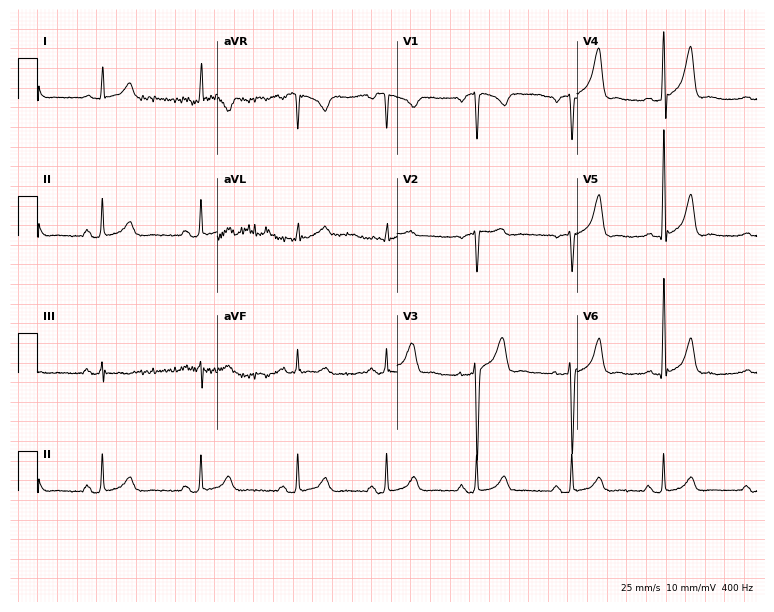
Resting 12-lead electrocardiogram. Patient: a male, 44 years old. Read as a normal ECG.